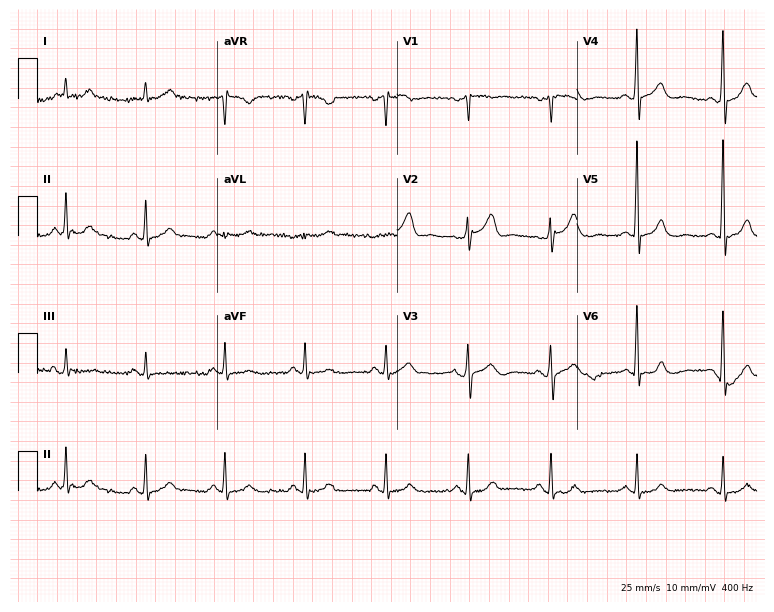
Standard 12-lead ECG recorded from a 76-year-old male (7.3-second recording at 400 Hz). None of these six findings is recorded: first-degree AV block, right bundle branch block, left bundle branch block, sinus bradycardia, atrial fibrillation, sinus tachycardia. Only these six findings were labelled.